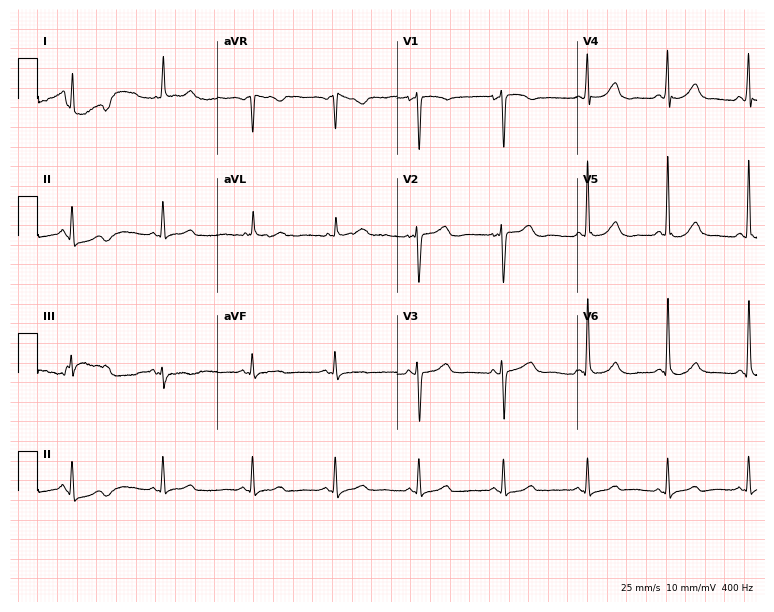
ECG — a woman, 47 years old. Screened for six findings — first-degree AV block, right bundle branch block (RBBB), left bundle branch block (LBBB), sinus bradycardia, atrial fibrillation (AF), sinus tachycardia — none is recorded. Other findings, if any, are not listed.